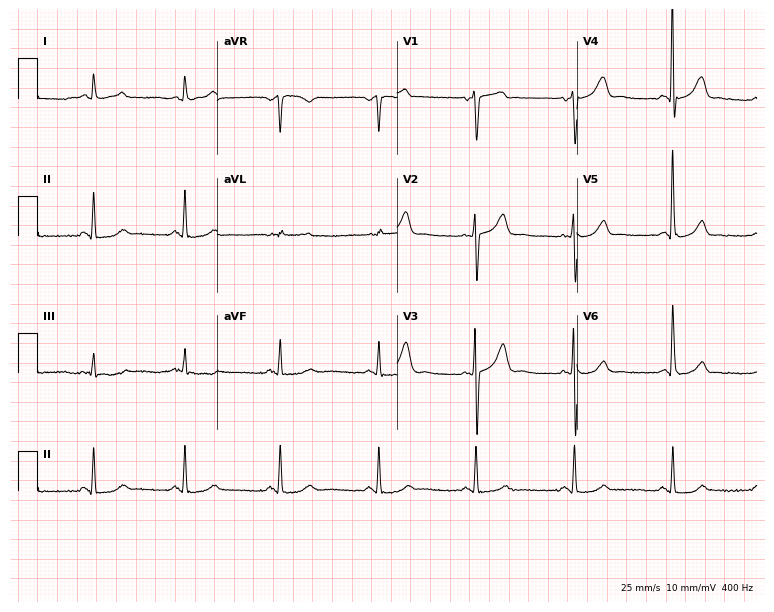
12-lead ECG from a 64-year-old male. Screened for six findings — first-degree AV block, right bundle branch block (RBBB), left bundle branch block (LBBB), sinus bradycardia, atrial fibrillation (AF), sinus tachycardia — none is recorded.